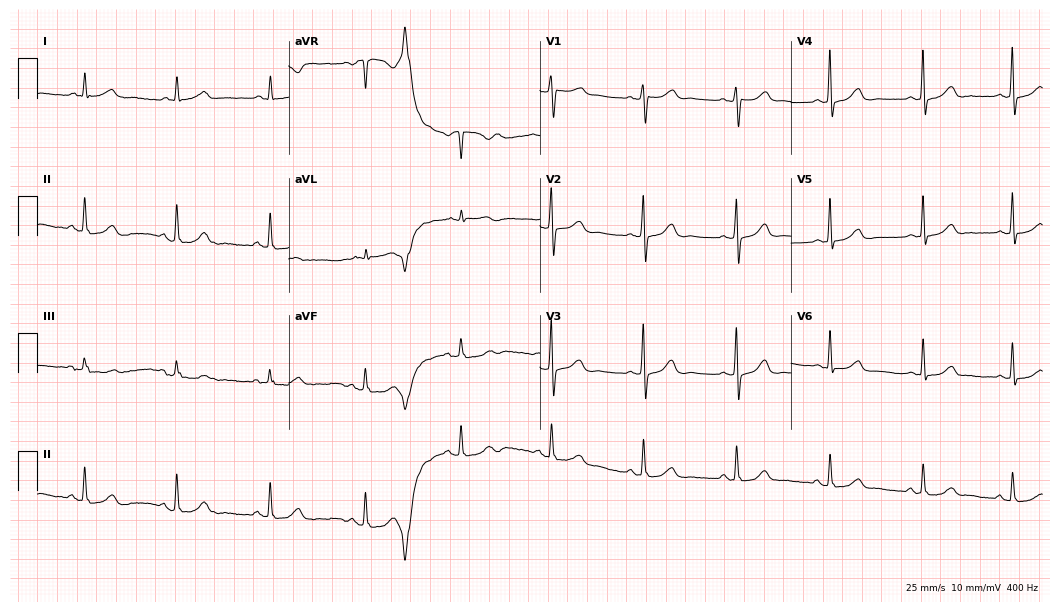
Electrocardiogram, a 66-year-old woman. Of the six screened findings (first-degree AV block, right bundle branch block (RBBB), left bundle branch block (LBBB), sinus bradycardia, atrial fibrillation (AF), sinus tachycardia), none is recorded.